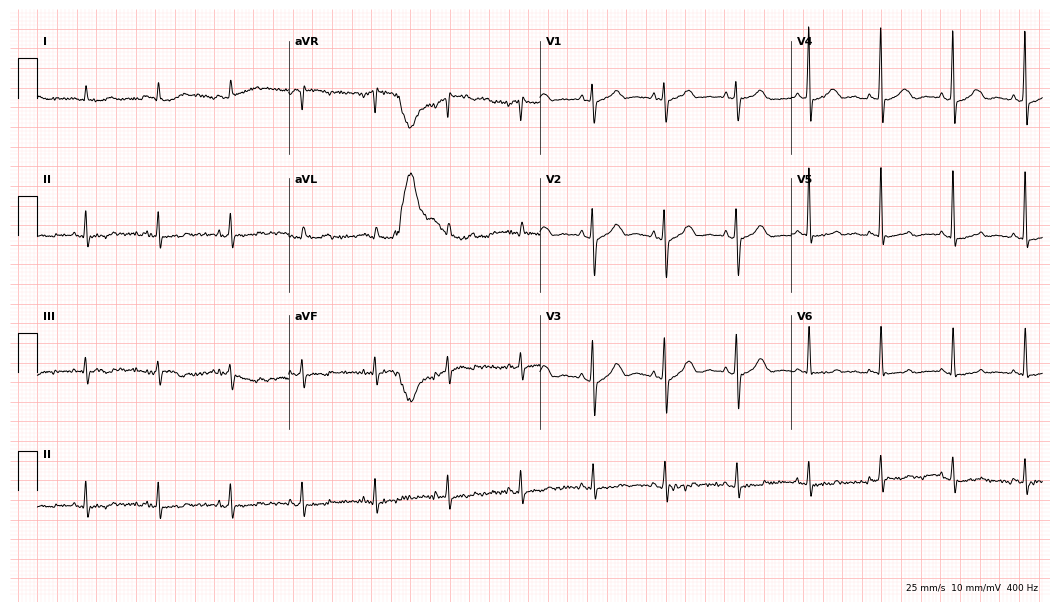
Standard 12-lead ECG recorded from an 82-year-old woman. Read as a normal ECG.